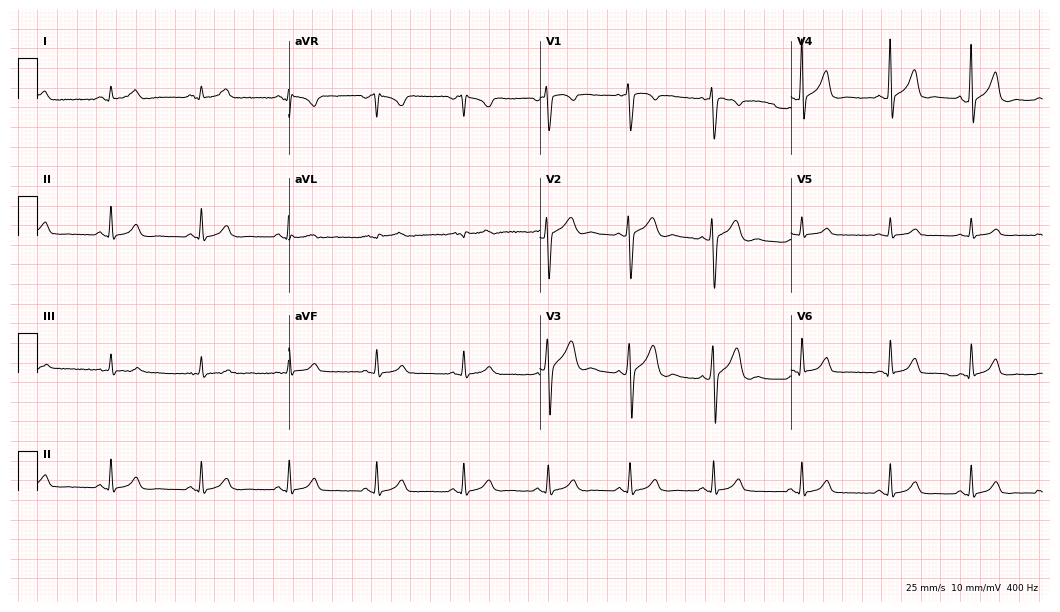
12-lead ECG from a male patient, 26 years old (10.2-second recording at 400 Hz). No first-degree AV block, right bundle branch block, left bundle branch block, sinus bradycardia, atrial fibrillation or sinus tachycardia recorded for this tracing.